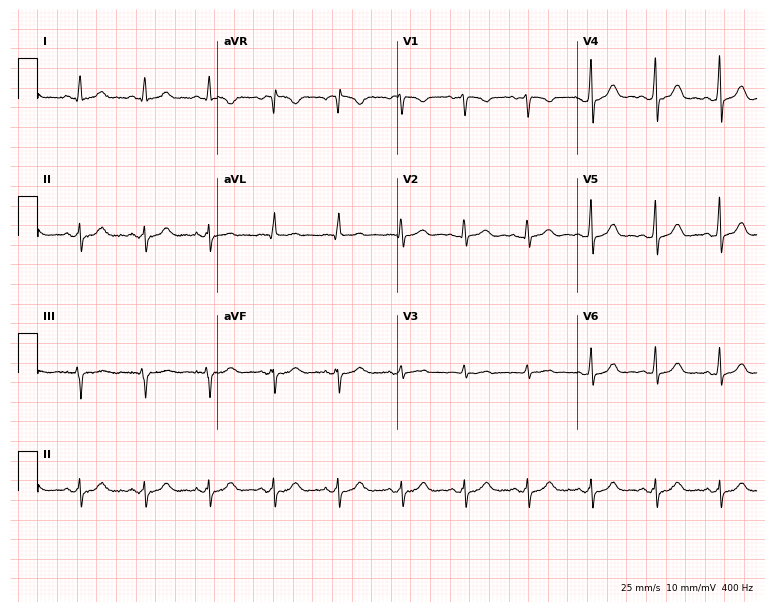
Electrocardiogram, a 35-year-old female. Of the six screened findings (first-degree AV block, right bundle branch block, left bundle branch block, sinus bradycardia, atrial fibrillation, sinus tachycardia), none is recorded. Only these six findings were labelled.